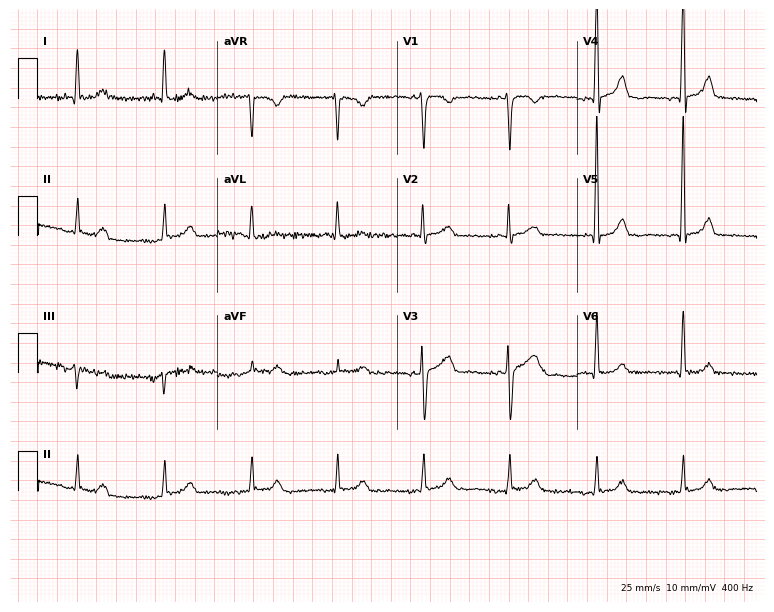
12-lead ECG (7.3-second recording at 400 Hz) from a 62-year-old woman. Labelled as a normal ECG.